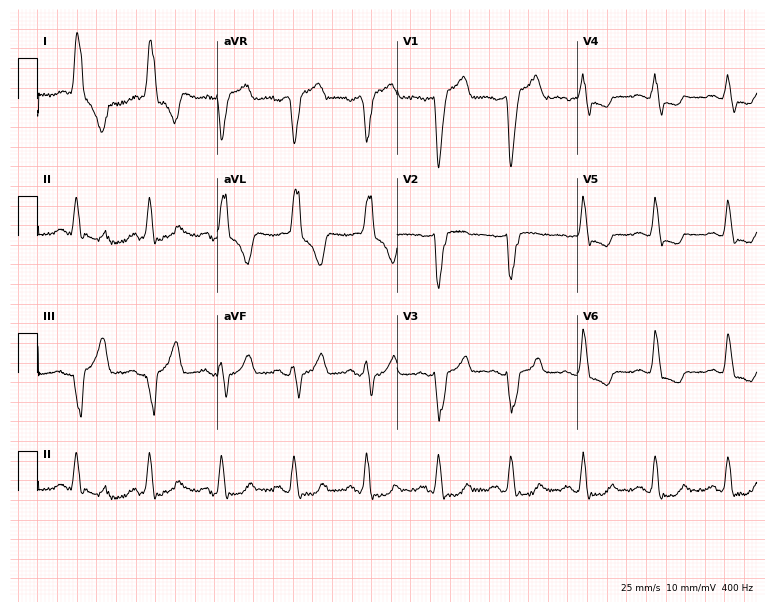
Electrocardiogram, a 78-year-old female. Interpretation includes left bundle branch block.